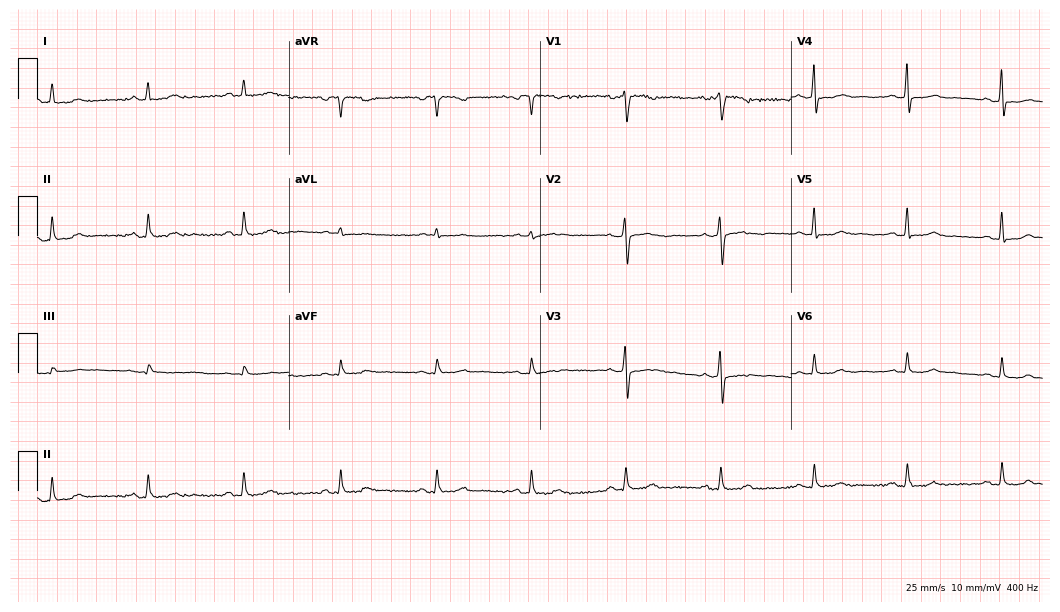
Standard 12-lead ECG recorded from a female patient, 61 years old (10.2-second recording at 400 Hz). None of these six findings is recorded: first-degree AV block, right bundle branch block (RBBB), left bundle branch block (LBBB), sinus bradycardia, atrial fibrillation (AF), sinus tachycardia. Other findings, if any, are not listed.